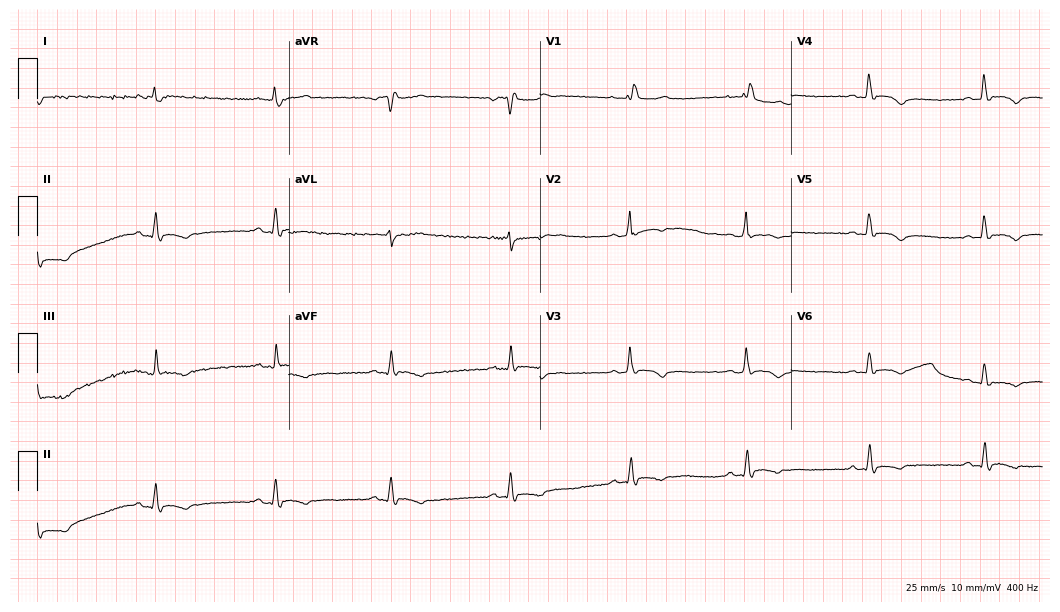
Resting 12-lead electrocardiogram. Patient: a female, 55 years old. None of these six findings is recorded: first-degree AV block, right bundle branch block, left bundle branch block, sinus bradycardia, atrial fibrillation, sinus tachycardia.